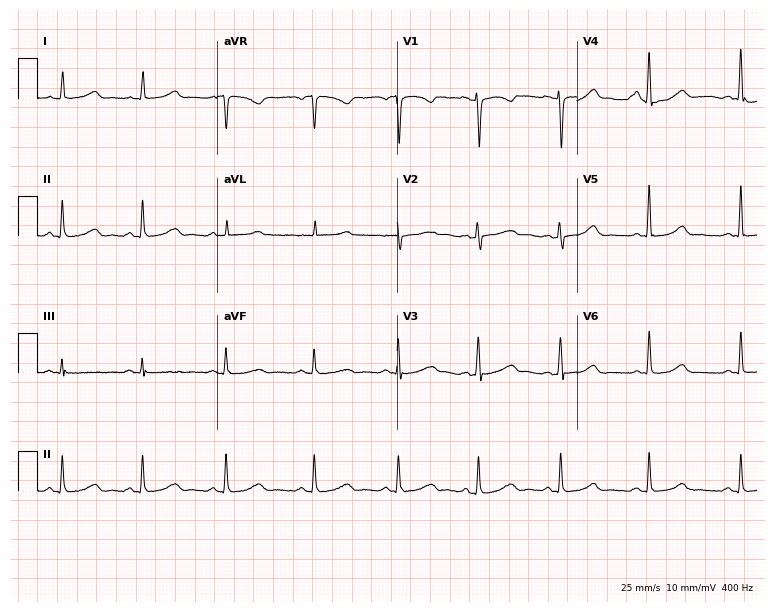
ECG (7.3-second recording at 400 Hz) — a 36-year-old woman. Screened for six findings — first-degree AV block, right bundle branch block (RBBB), left bundle branch block (LBBB), sinus bradycardia, atrial fibrillation (AF), sinus tachycardia — none is recorded.